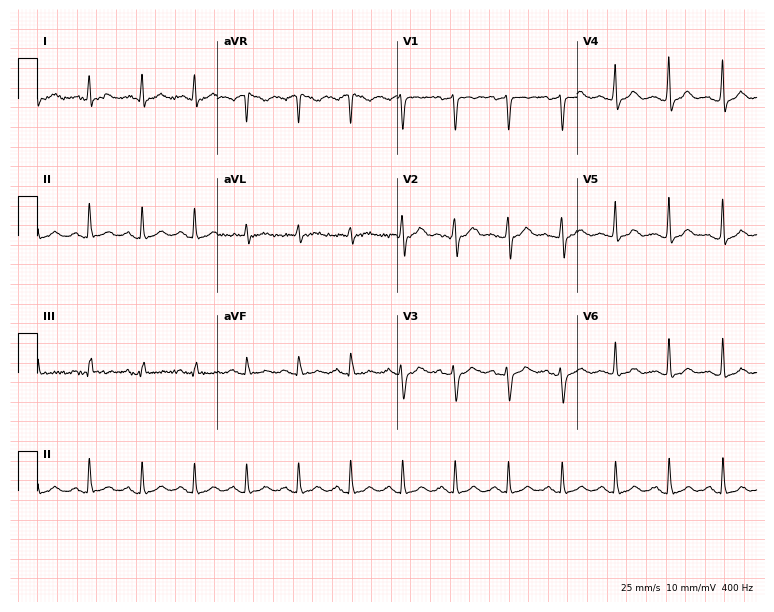
Resting 12-lead electrocardiogram. Patient: a female, 39 years old. The tracing shows sinus tachycardia (a sinus rate of 100 beats per minute or more).